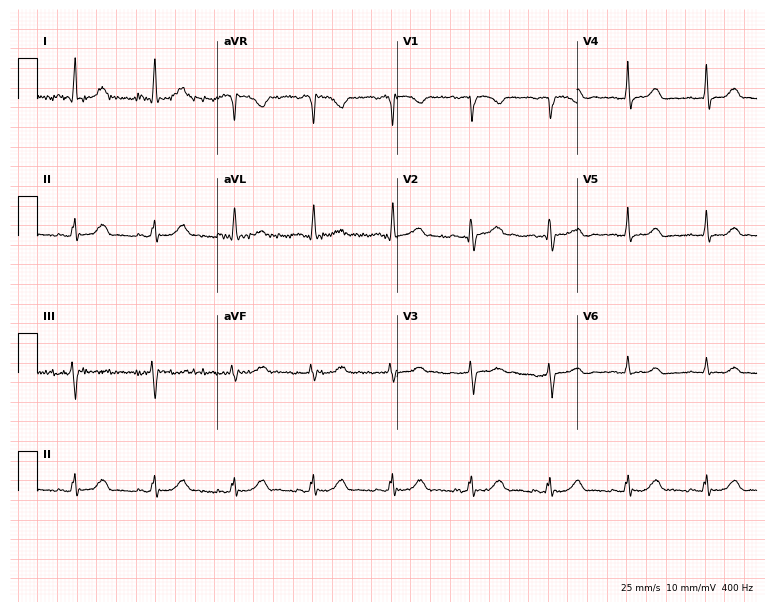
Resting 12-lead electrocardiogram (7.3-second recording at 400 Hz). Patient: a 75-year-old female. Read as a normal ECG.